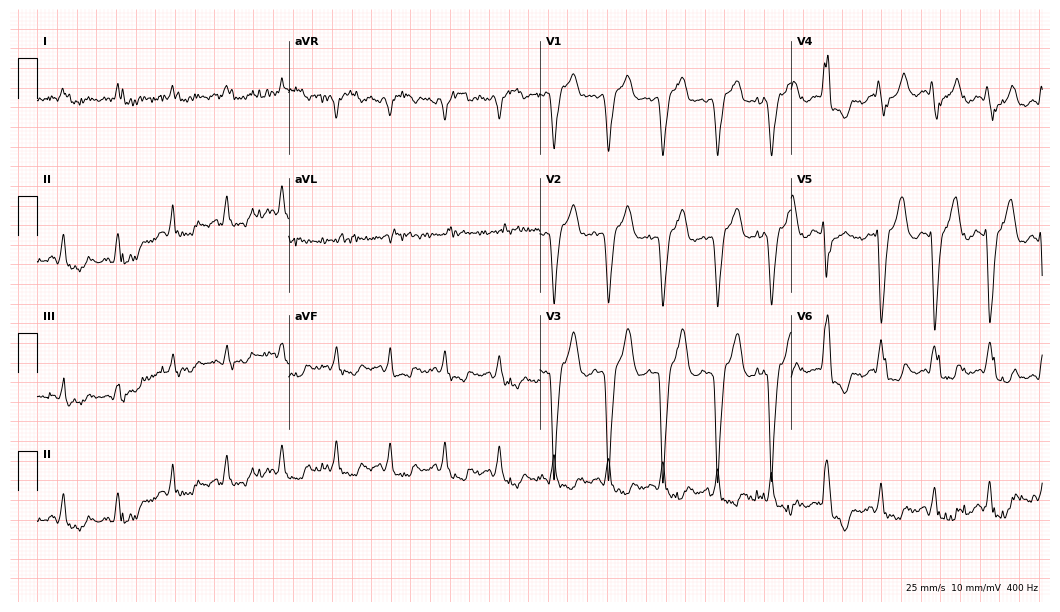
Standard 12-lead ECG recorded from an 82-year-old woman (10.2-second recording at 400 Hz). None of these six findings is recorded: first-degree AV block, right bundle branch block (RBBB), left bundle branch block (LBBB), sinus bradycardia, atrial fibrillation (AF), sinus tachycardia. Only these six findings were labelled.